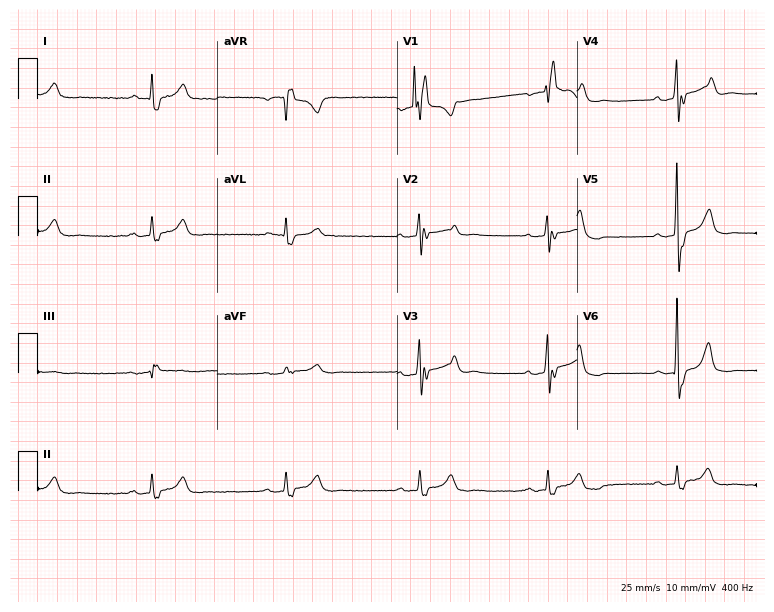
Resting 12-lead electrocardiogram (7.3-second recording at 400 Hz). Patient: a 68-year-old male. The tracing shows right bundle branch block.